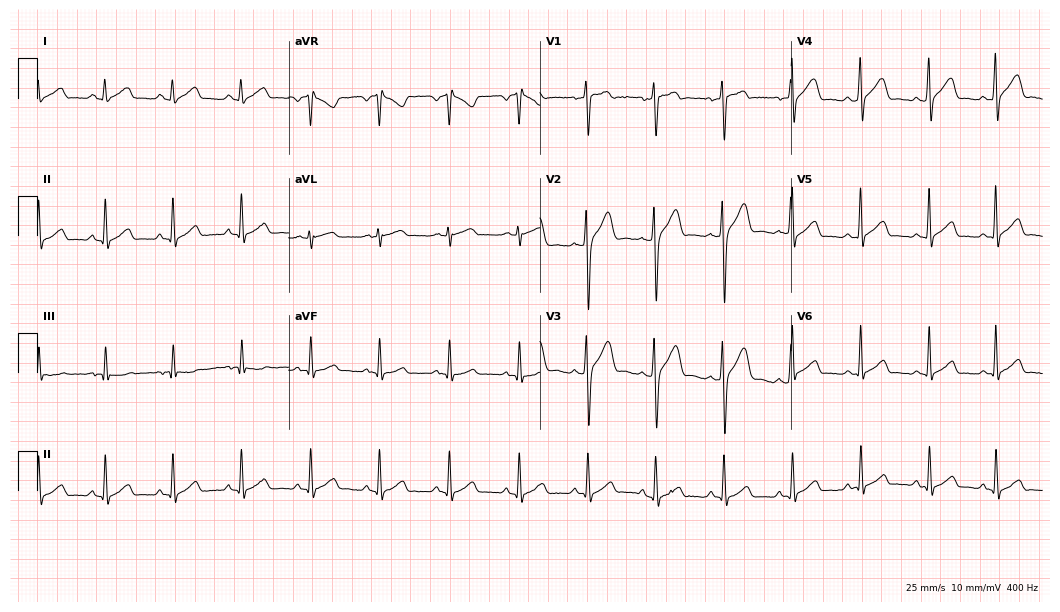
12-lead ECG (10.2-second recording at 400 Hz) from a man, 23 years old. Labelled as a normal ECG.